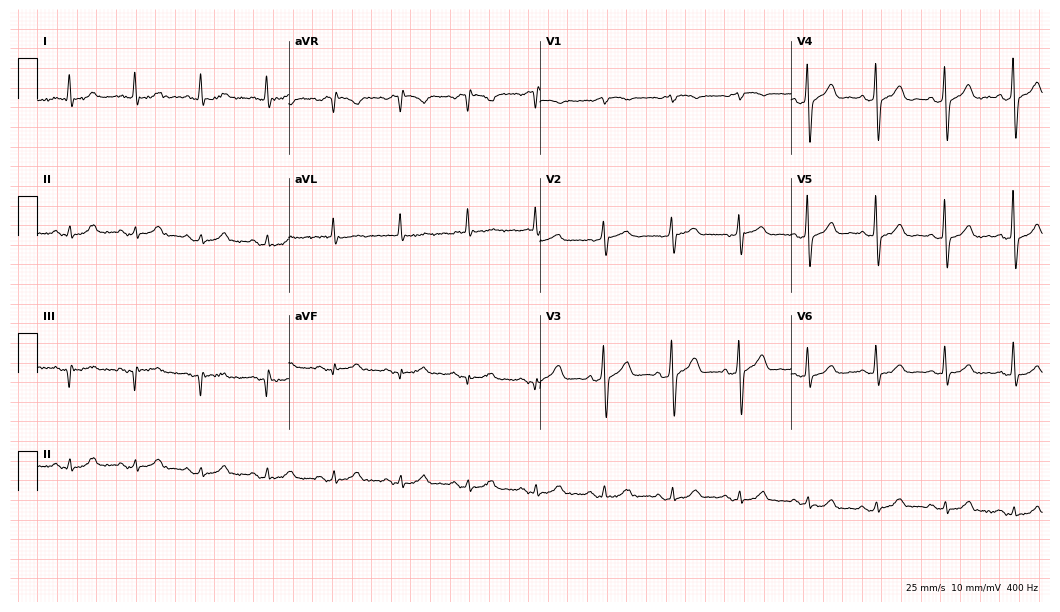
12-lead ECG (10.2-second recording at 400 Hz) from a man, 75 years old. Labelled as a normal ECG.